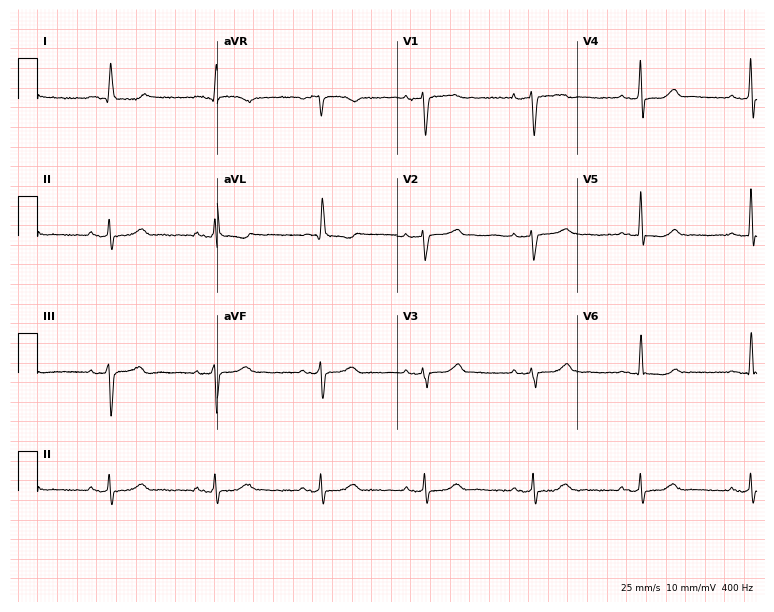
12-lead ECG from a 59-year-old female (7.3-second recording at 400 Hz). No first-degree AV block, right bundle branch block, left bundle branch block, sinus bradycardia, atrial fibrillation or sinus tachycardia recorded for this tracing.